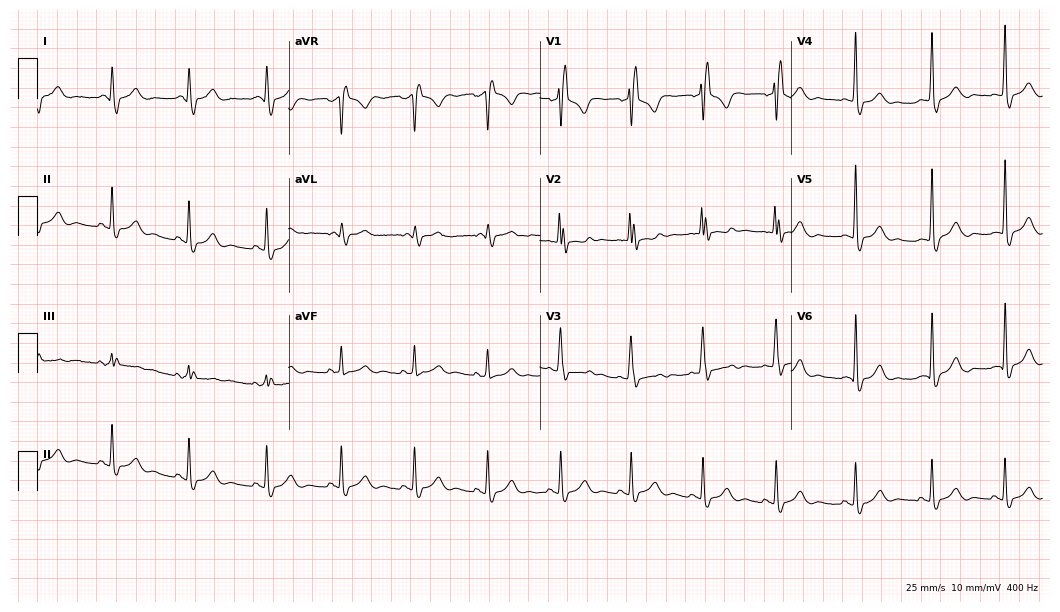
12-lead ECG from a male, 28 years old (10.2-second recording at 400 Hz). Shows right bundle branch block.